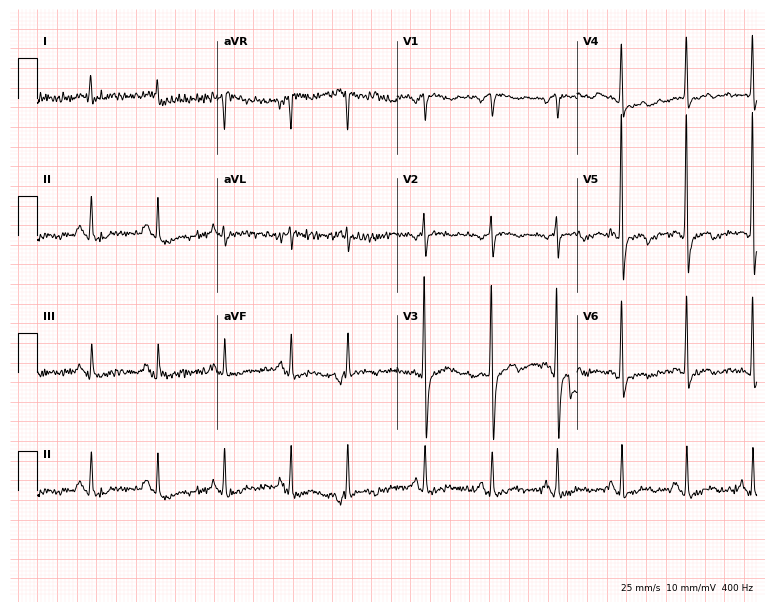
12-lead ECG from a 79-year-old female patient. Screened for six findings — first-degree AV block, right bundle branch block, left bundle branch block, sinus bradycardia, atrial fibrillation, sinus tachycardia — none is recorded. Findings outside these six are not listed.